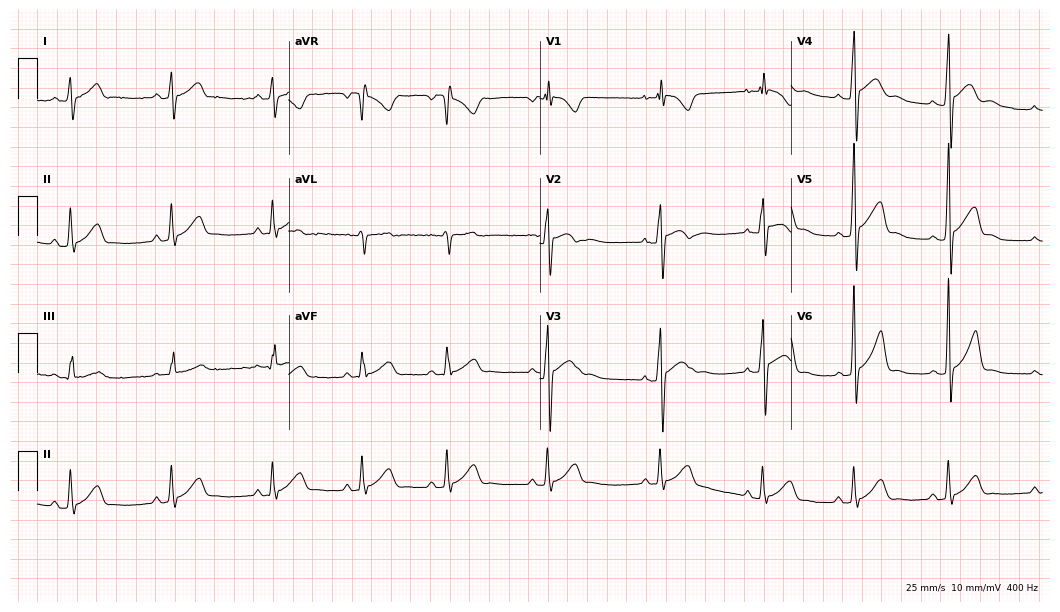
Resting 12-lead electrocardiogram (10.2-second recording at 400 Hz). Patient: a male, 18 years old. Read as a normal ECG.